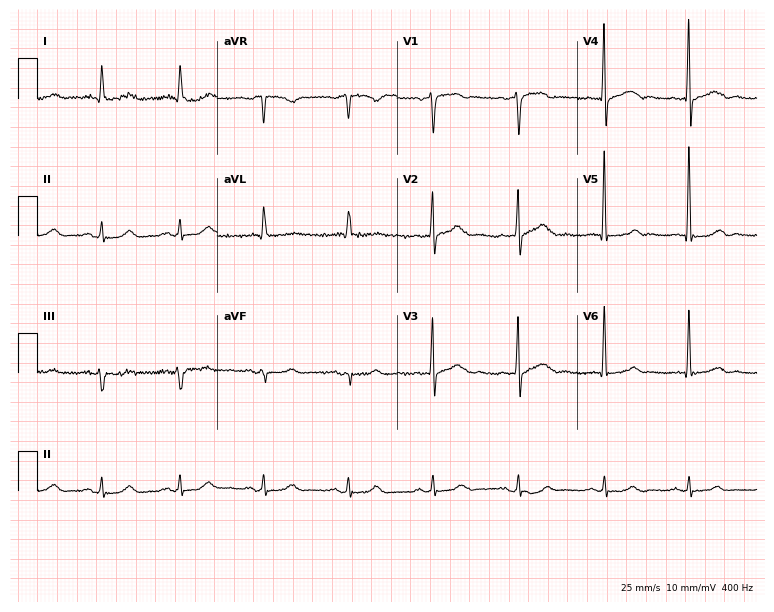
12-lead ECG from a 67-year-old male patient. Labelled as a normal ECG.